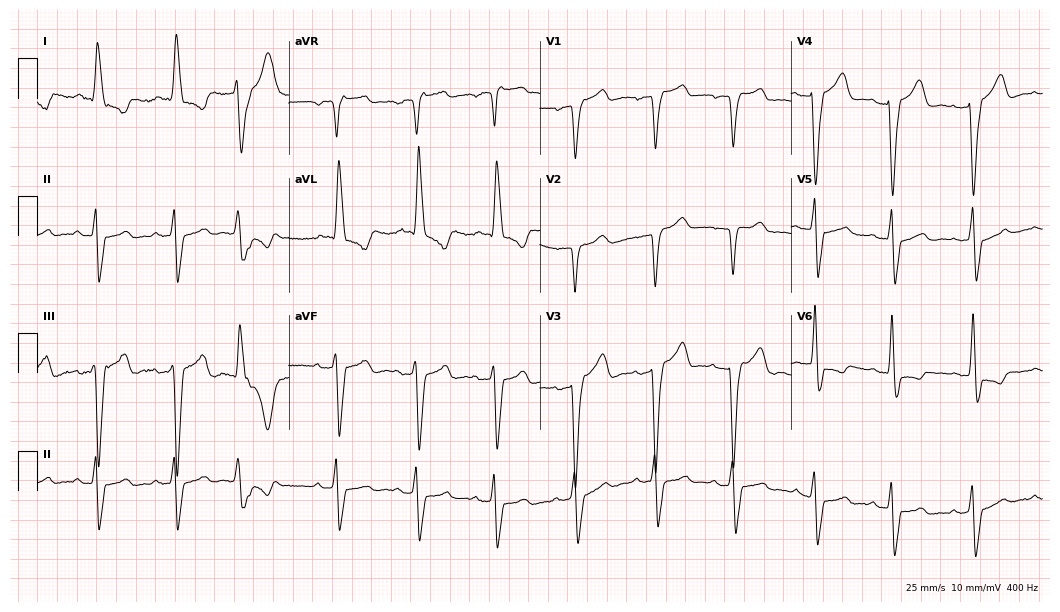
12-lead ECG from a female patient, 82 years old (10.2-second recording at 400 Hz). Shows left bundle branch block (LBBB).